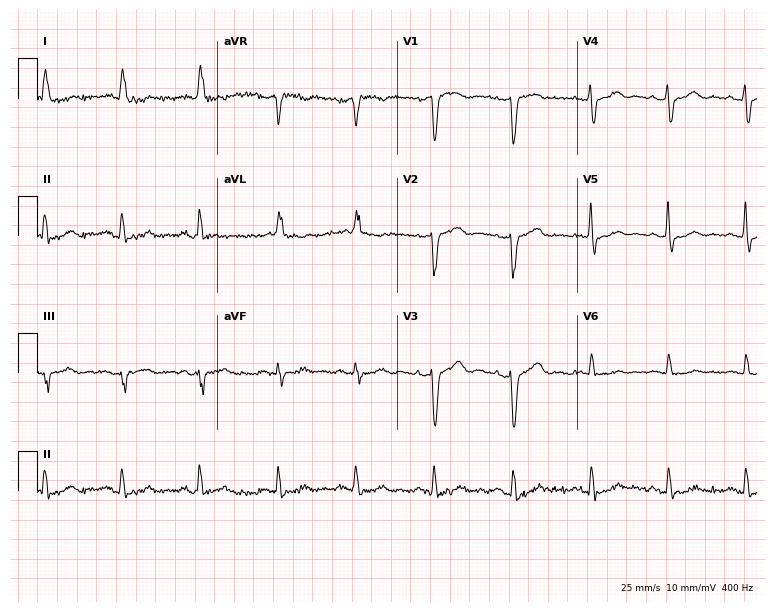
Resting 12-lead electrocardiogram. Patient: a woman, 80 years old. None of these six findings is recorded: first-degree AV block, right bundle branch block, left bundle branch block, sinus bradycardia, atrial fibrillation, sinus tachycardia.